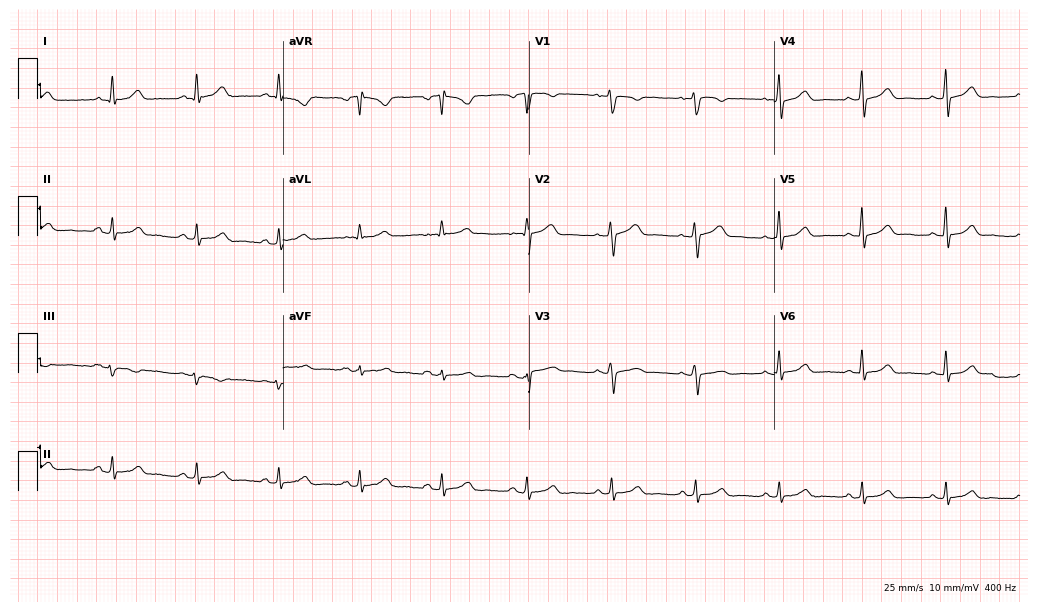
12-lead ECG from a 51-year-old female patient. Recorded interpretation: within normal limits.